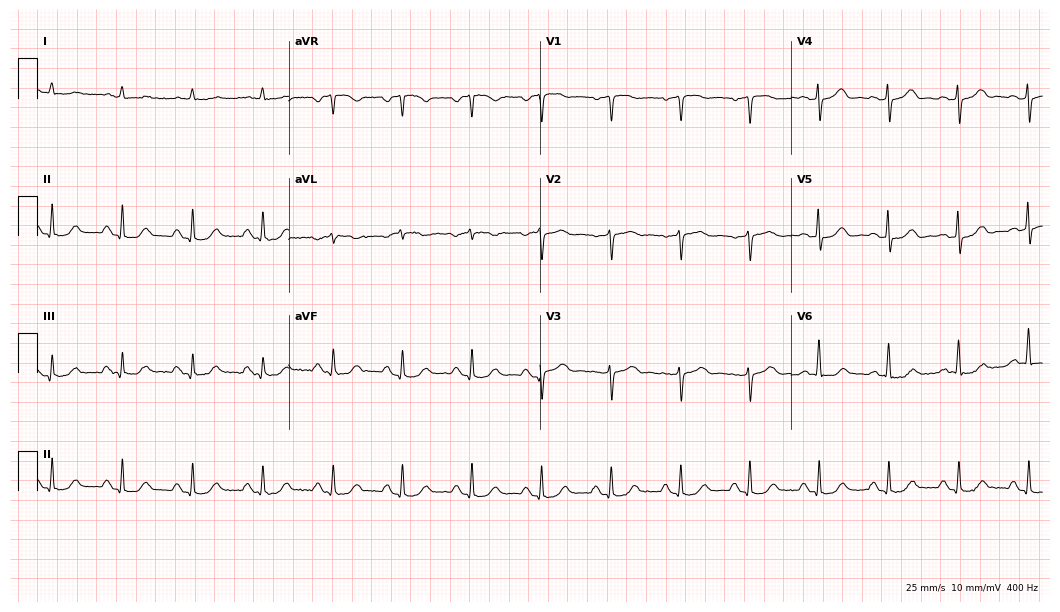
Resting 12-lead electrocardiogram (10.2-second recording at 400 Hz). Patient: a male, 77 years old. Read as a normal ECG.